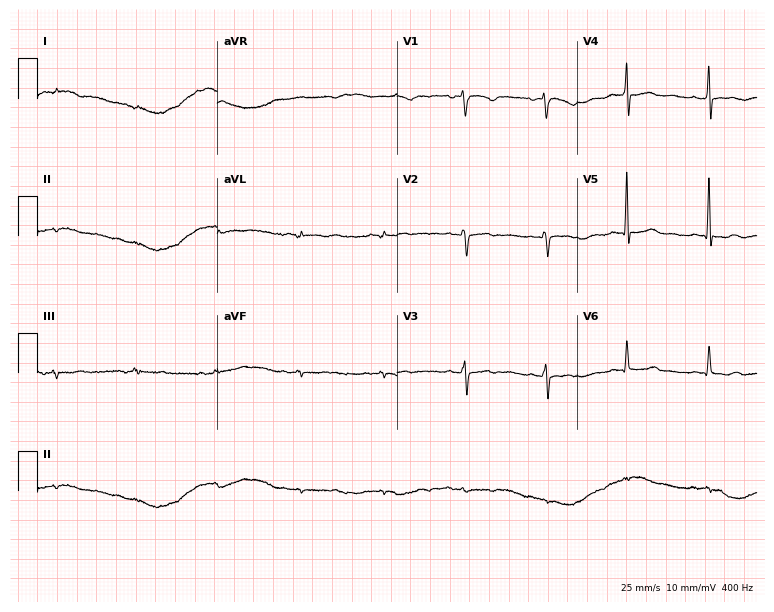
Resting 12-lead electrocardiogram (7.3-second recording at 400 Hz). Patient: a female, 73 years old. None of these six findings is recorded: first-degree AV block, right bundle branch block, left bundle branch block, sinus bradycardia, atrial fibrillation, sinus tachycardia.